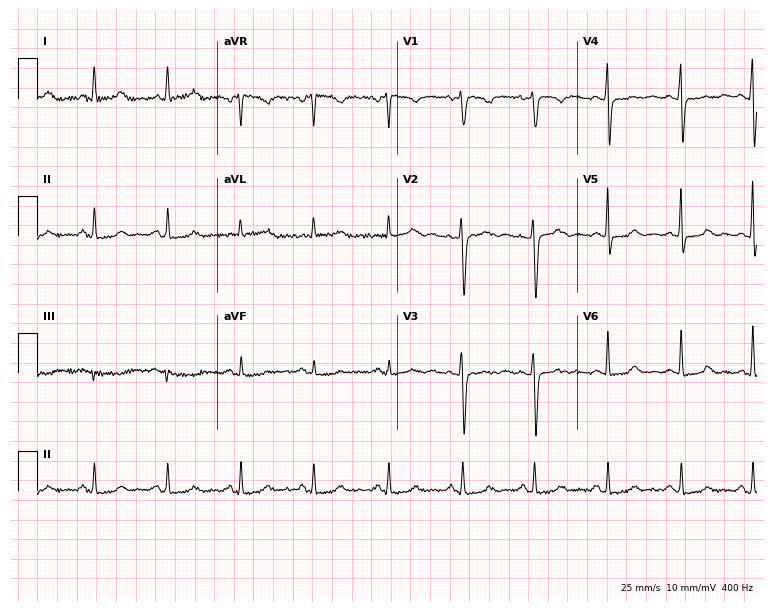
Standard 12-lead ECG recorded from a woman, 53 years old (7.3-second recording at 400 Hz). Read as a normal ECG.